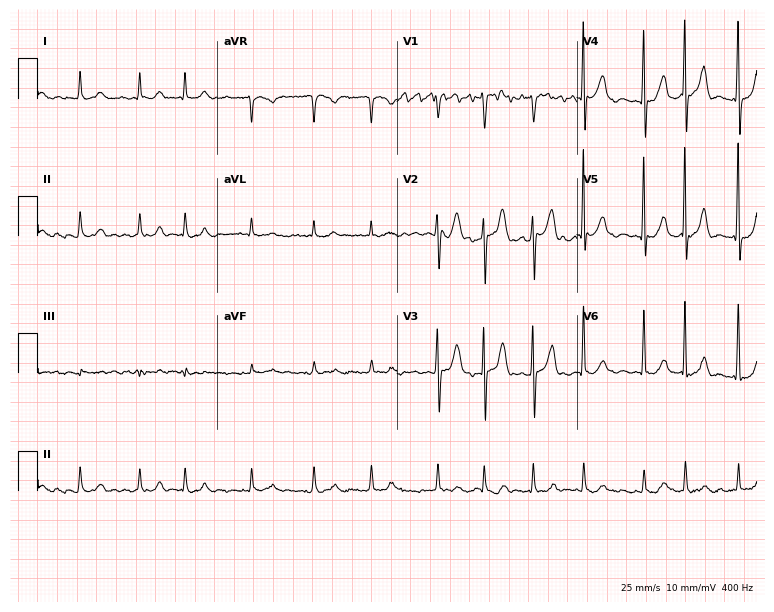
Standard 12-lead ECG recorded from a male patient, 82 years old. The tracing shows atrial fibrillation (AF).